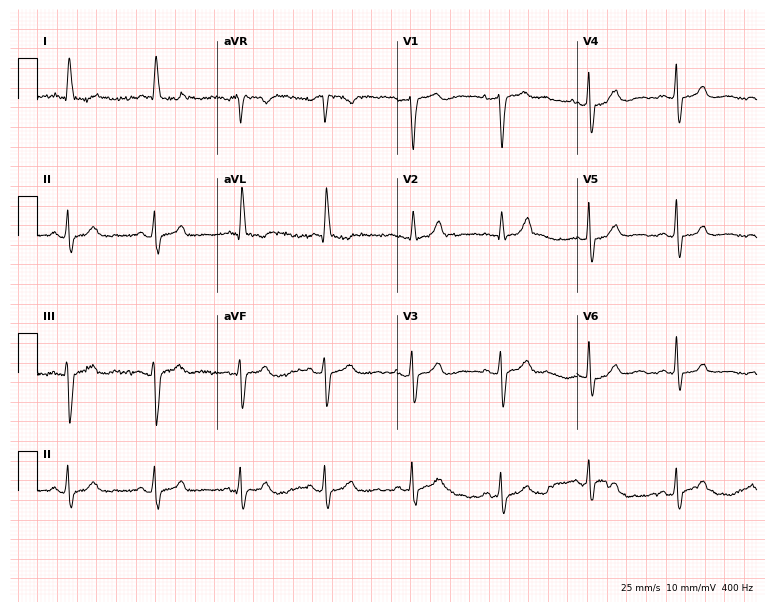
12-lead ECG from a woman, 84 years old. Recorded interpretation: within normal limits.